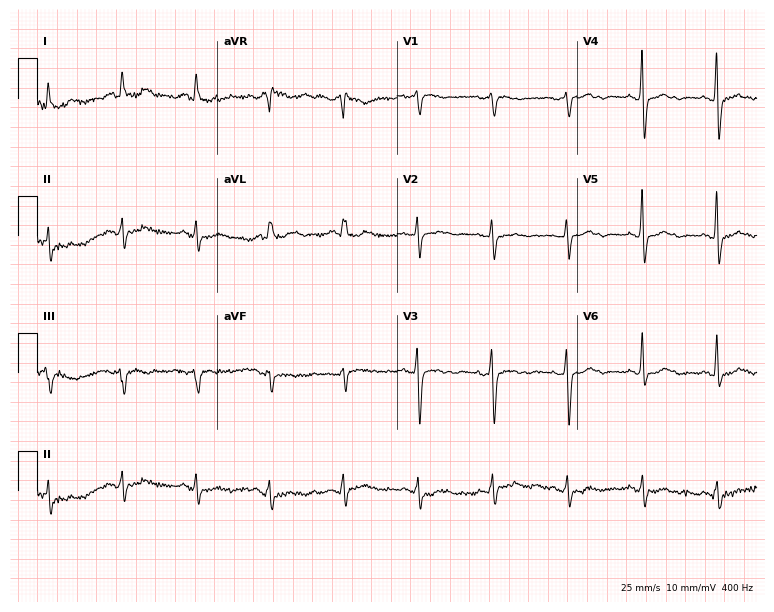
Standard 12-lead ECG recorded from a 73-year-old female (7.3-second recording at 400 Hz). None of these six findings is recorded: first-degree AV block, right bundle branch block, left bundle branch block, sinus bradycardia, atrial fibrillation, sinus tachycardia.